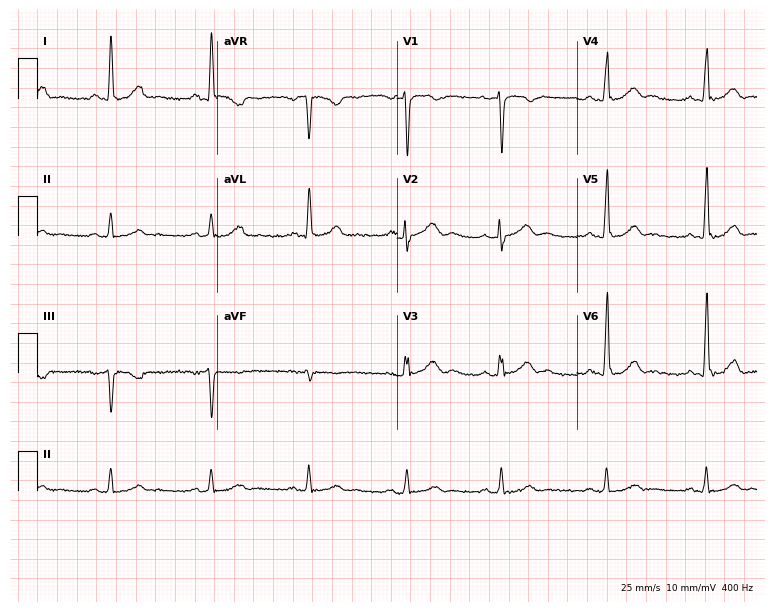
12-lead ECG from a 43-year-old male (7.3-second recording at 400 Hz). Recorded interpretation: within normal limits.